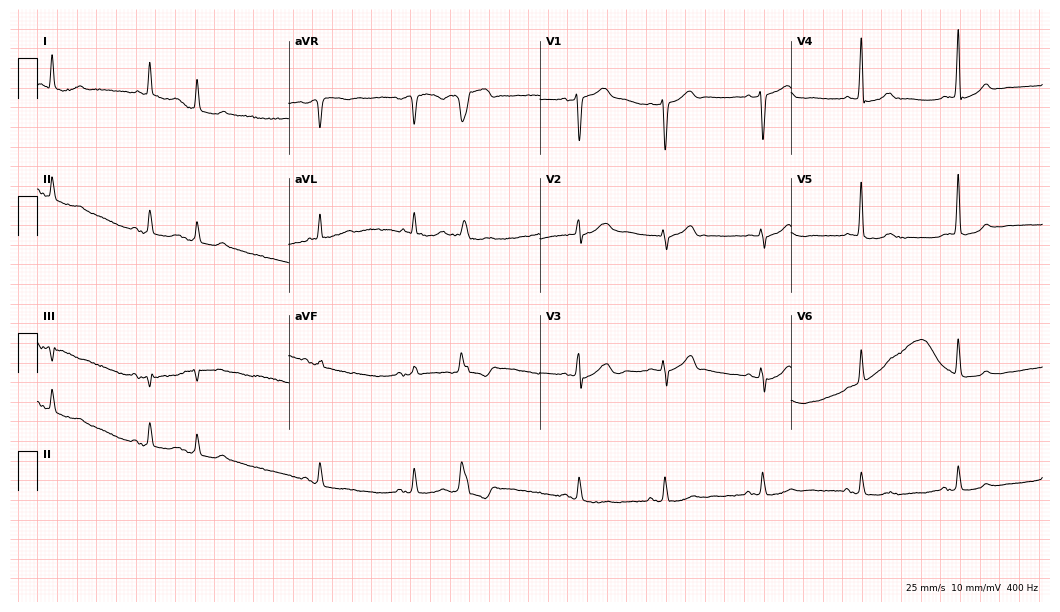
Standard 12-lead ECG recorded from an 85-year-old man. None of these six findings is recorded: first-degree AV block, right bundle branch block (RBBB), left bundle branch block (LBBB), sinus bradycardia, atrial fibrillation (AF), sinus tachycardia. Only these six findings were labelled.